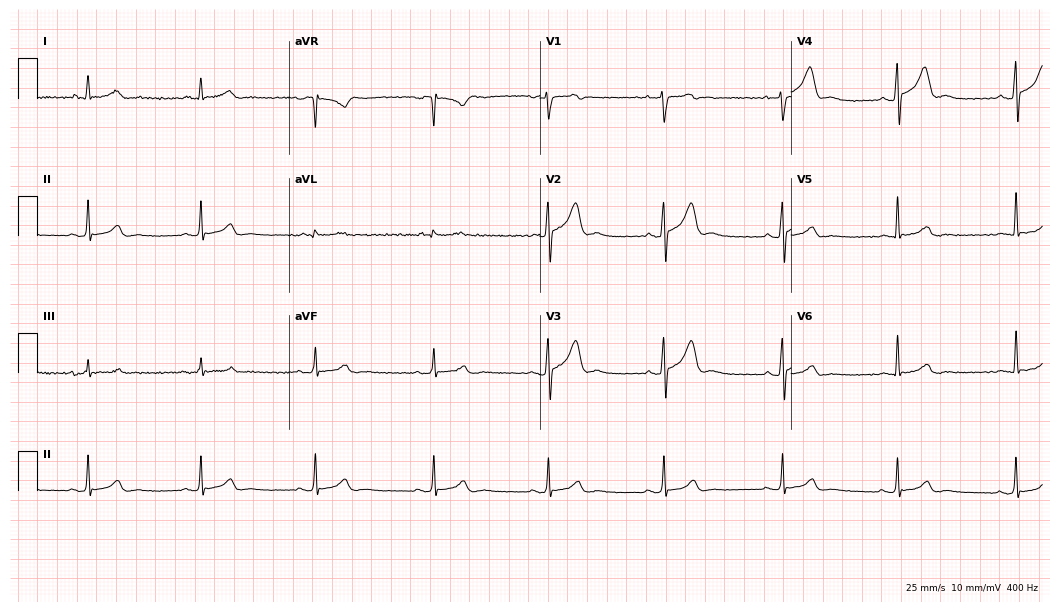
Resting 12-lead electrocardiogram (10.2-second recording at 400 Hz). Patient: a man, 34 years old. Read as a normal ECG.